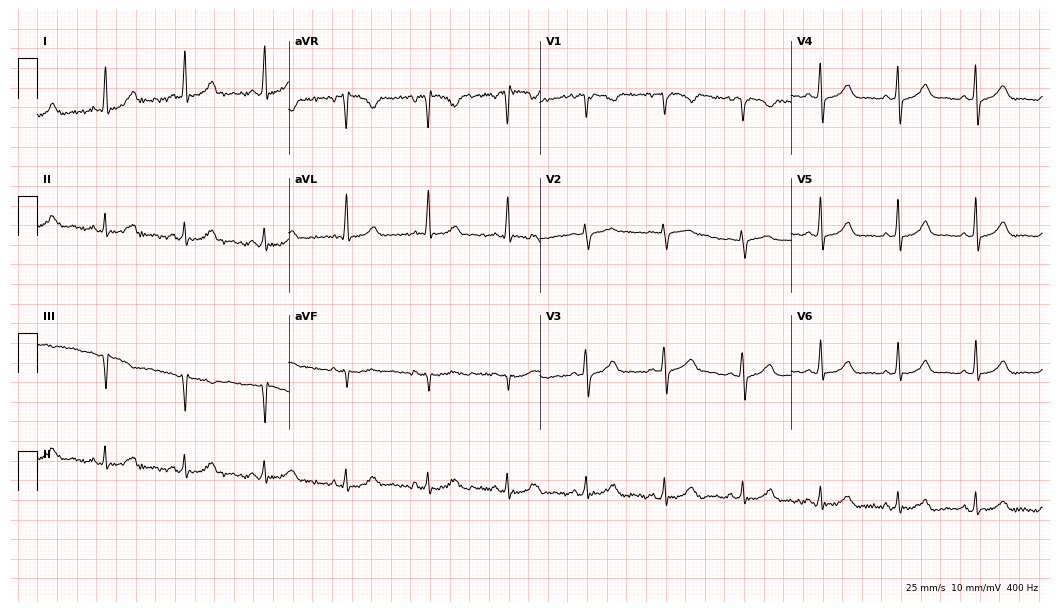
Electrocardiogram, a female patient, 66 years old. Overall reading on record: normal ECG.